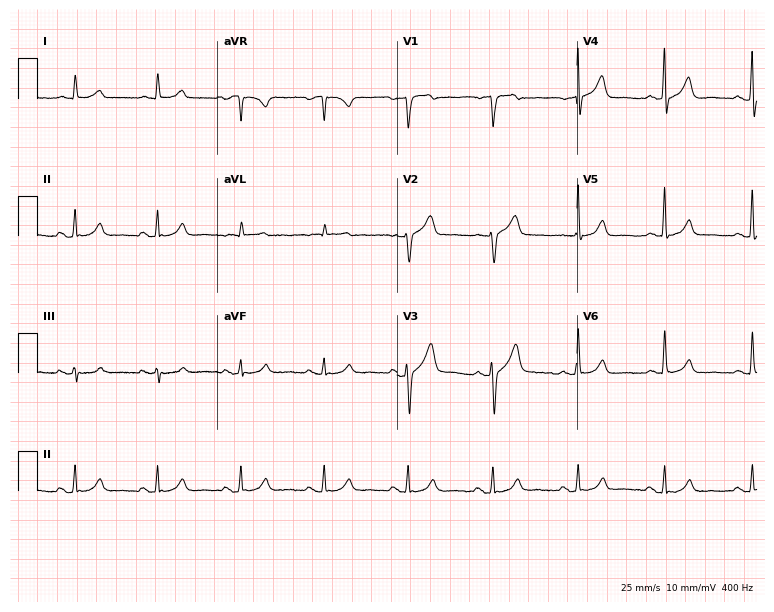
12-lead ECG from a male patient, 67 years old (7.3-second recording at 400 Hz). Recorded interpretation: within normal limits.